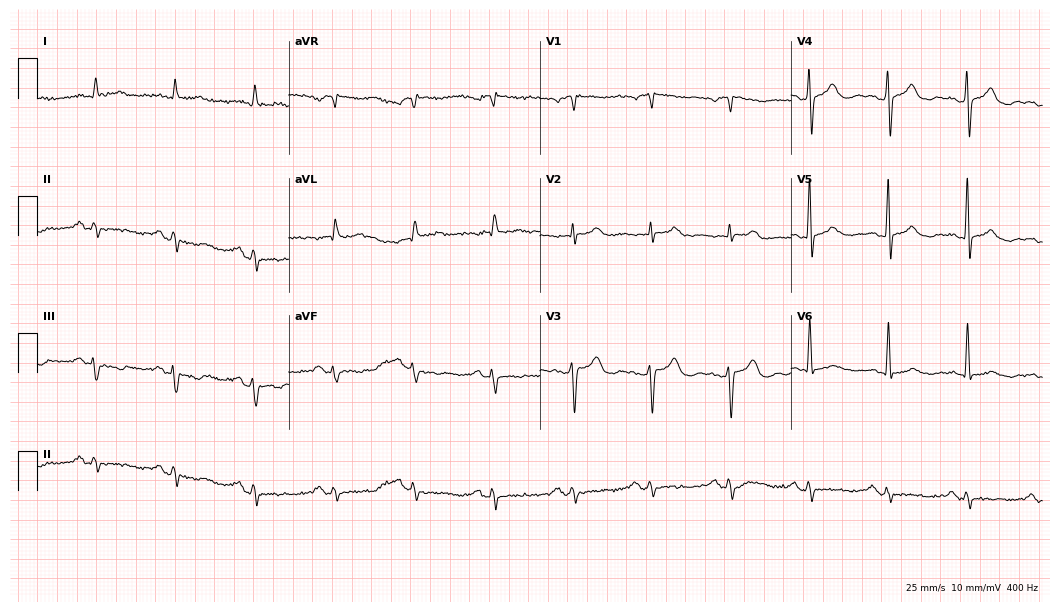
Standard 12-lead ECG recorded from a 66-year-old male (10.2-second recording at 400 Hz). None of these six findings is recorded: first-degree AV block, right bundle branch block (RBBB), left bundle branch block (LBBB), sinus bradycardia, atrial fibrillation (AF), sinus tachycardia.